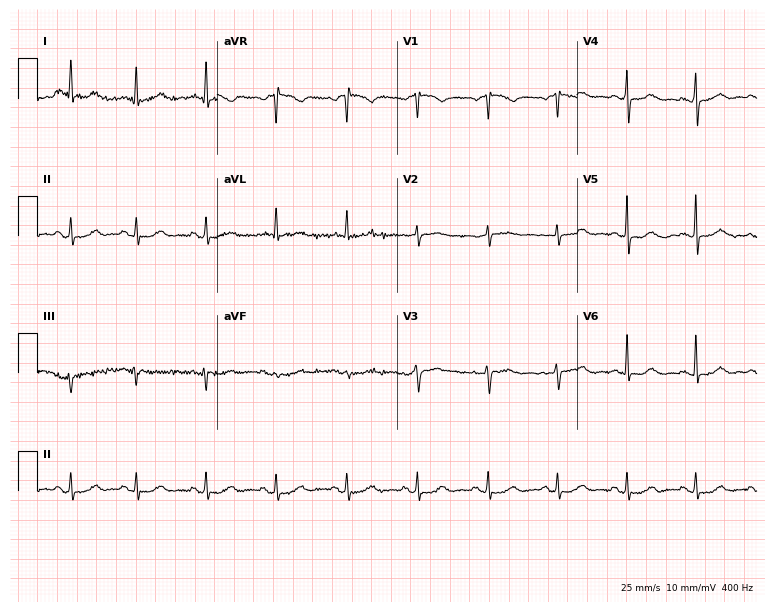
12-lead ECG from a female patient, 57 years old (7.3-second recording at 400 Hz). Recorded interpretation: within normal limits.